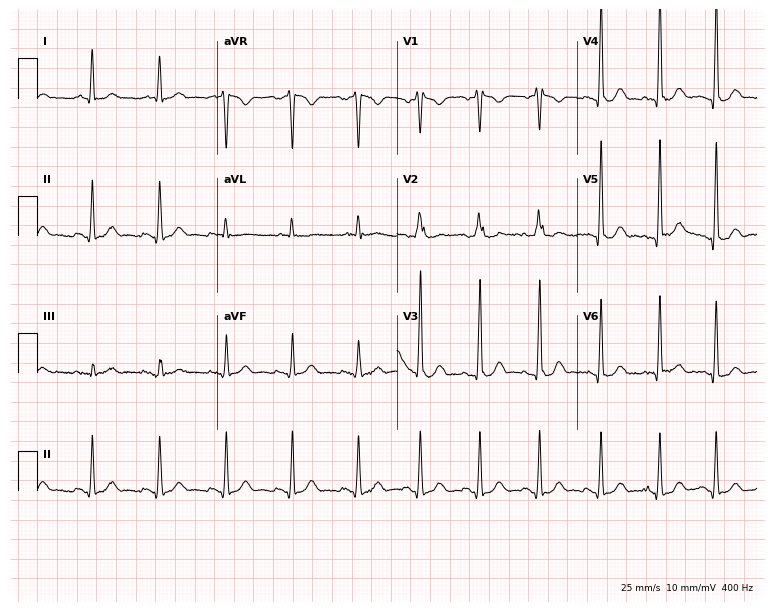
ECG — a 38-year-old male patient. Screened for six findings — first-degree AV block, right bundle branch block, left bundle branch block, sinus bradycardia, atrial fibrillation, sinus tachycardia — none is recorded.